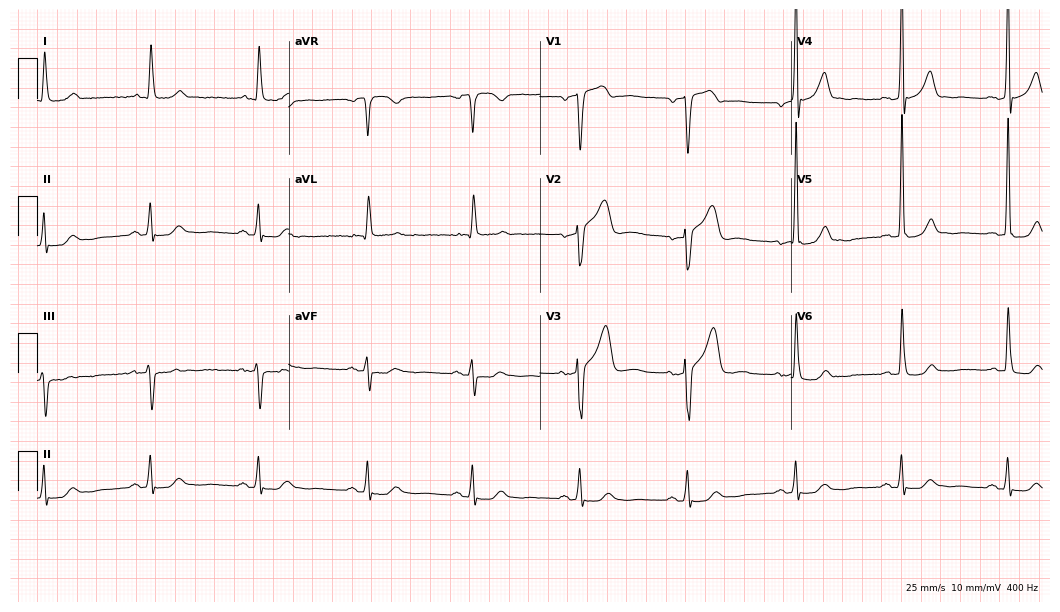
12-lead ECG from a man, 75 years old (10.2-second recording at 400 Hz). No first-degree AV block, right bundle branch block, left bundle branch block, sinus bradycardia, atrial fibrillation or sinus tachycardia recorded for this tracing.